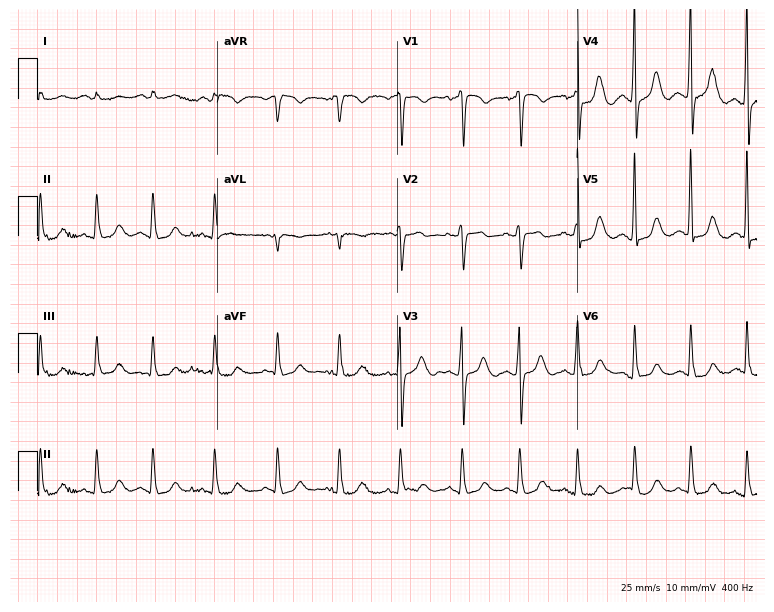
Electrocardiogram, a 79-year-old woman. Of the six screened findings (first-degree AV block, right bundle branch block, left bundle branch block, sinus bradycardia, atrial fibrillation, sinus tachycardia), none is recorded.